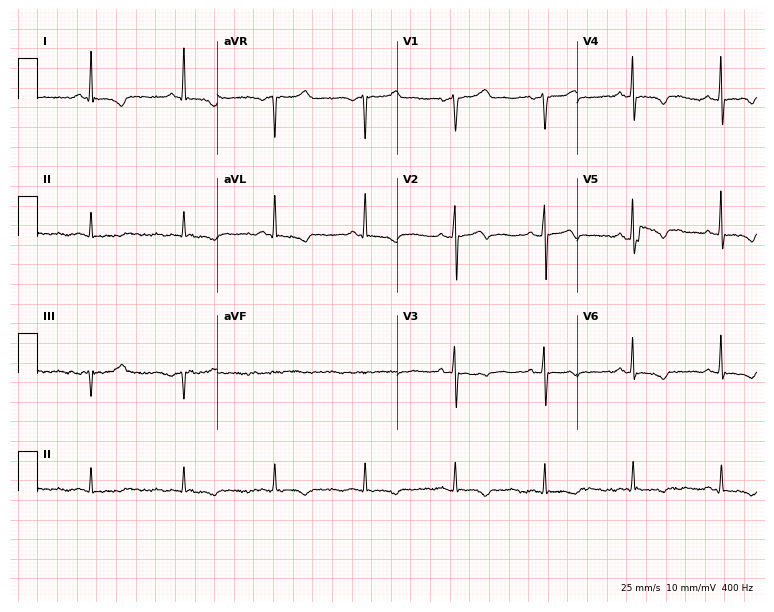
Standard 12-lead ECG recorded from a 71-year-old man (7.3-second recording at 400 Hz). None of these six findings is recorded: first-degree AV block, right bundle branch block, left bundle branch block, sinus bradycardia, atrial fibrillation, sinus tachycardia.